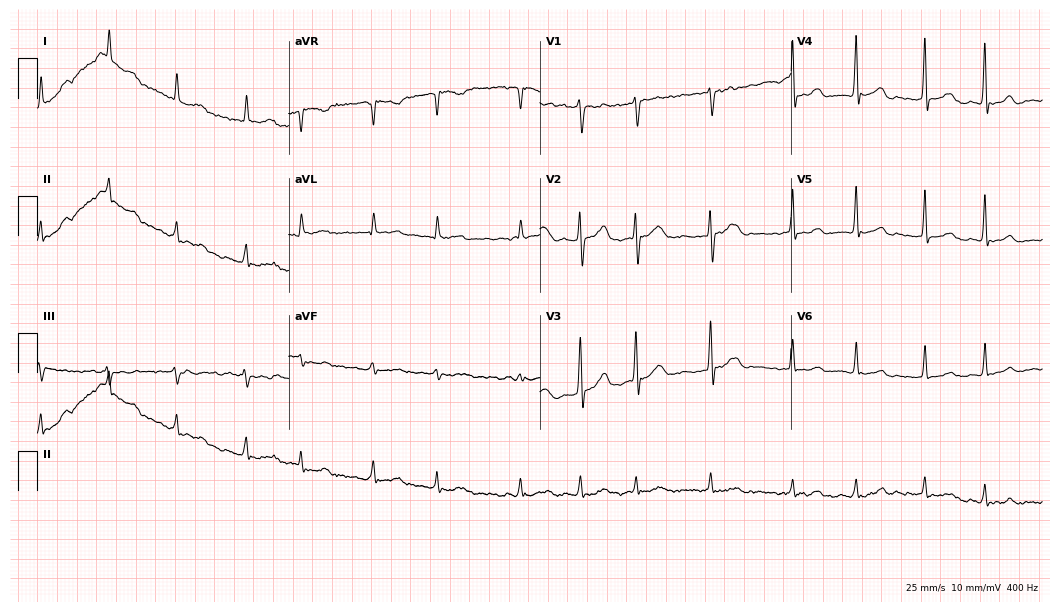
ECG (10.2-second recording at 400 Hz) — a male, 75 years old. Findings include atrial fibrillation.